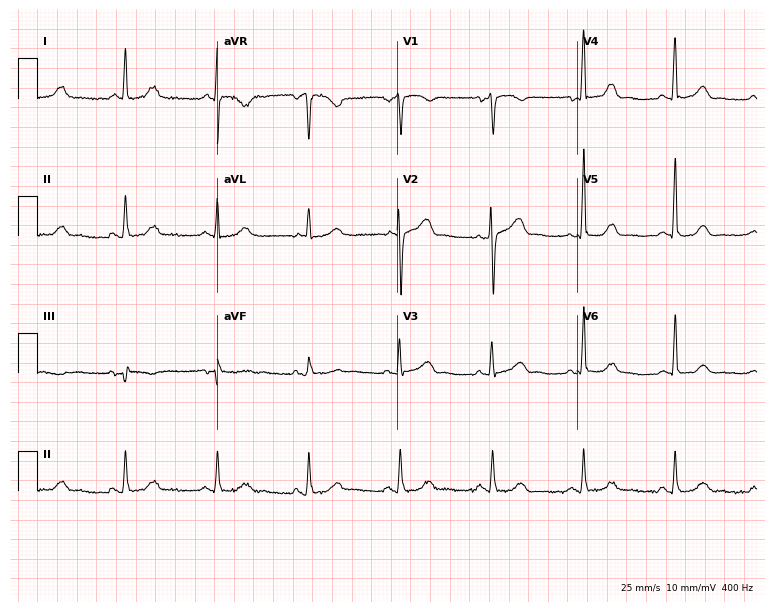
Standard 12-lead ECG recorded from an 85-year-old female patient. Read as a normal ECG.